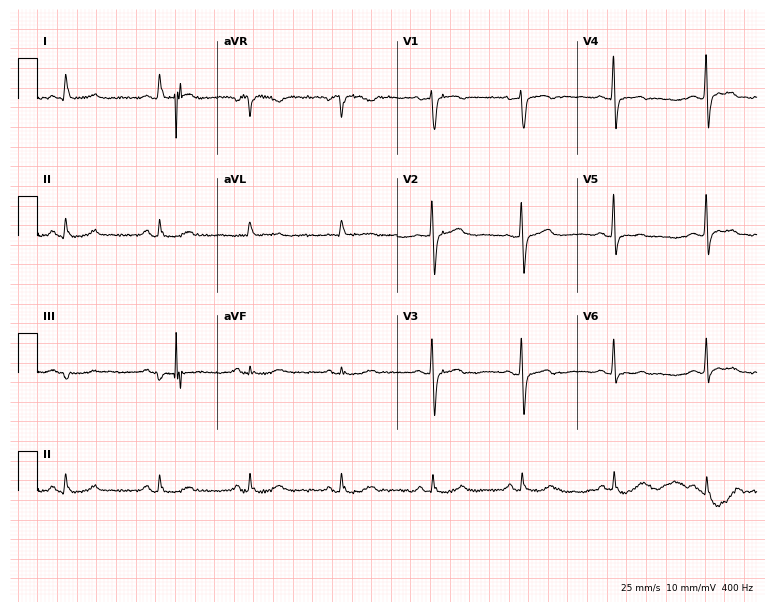
Resting 12-lead electrocardiogram. Patient: a 47-year-old woman. None of these six findings is recorded: first-degree AV block, right bundle branch block (RBBB), left bundle branch block (LBBB), sinus bradycardia, atrial fibrillation (AF), sinus tachycardia. Other findings, if any, are not listed.